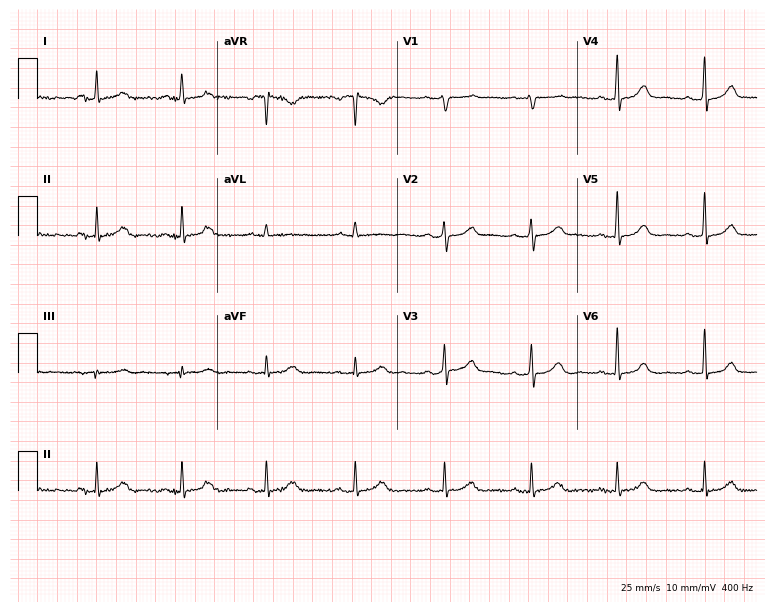
Standard 12-lead ECG recorded from a female, 43 years old (7.3-second recording at 400 Hz). None of these six findings is recorded: first-degree AV block, right bundle branch block (RBBB), left bundle branch block (LBBB), sinus bradycardia, atrial fibrillation (AF), sinus tachycardia.